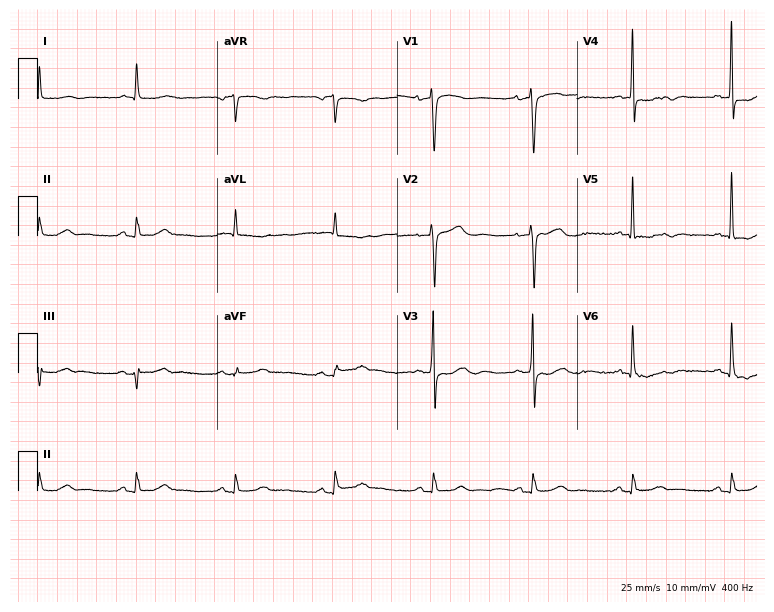
ECG — a 76-year-old male patient. Screened for six findings — first-degree AV block, right bundle branch block, left bundle branch block, sinus bradycardia, atrial fibrillation, sinus tachycardia — none is recorded. Findings outside these six are not listed.